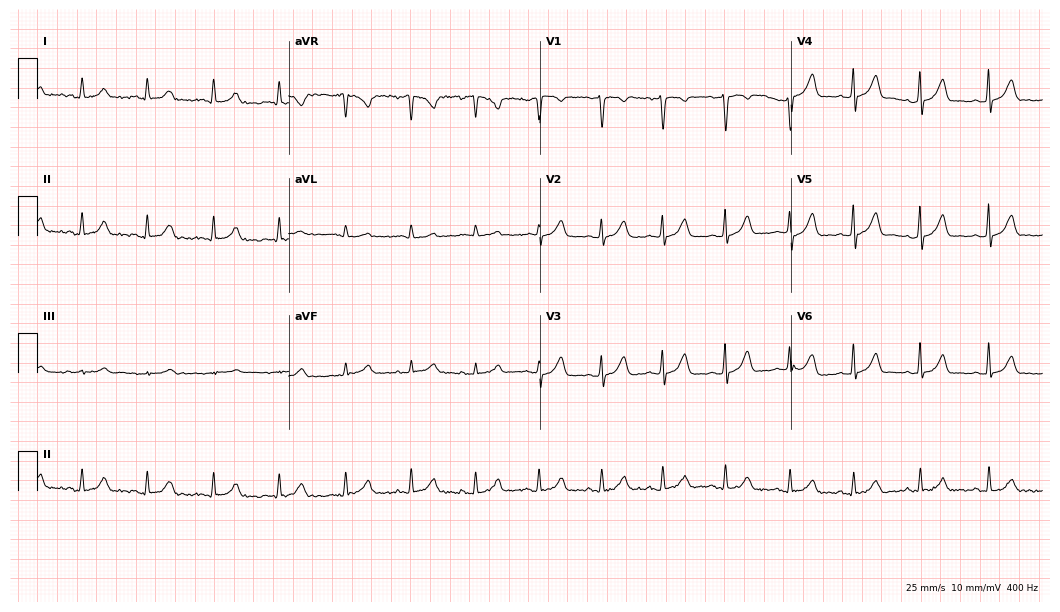
Resting 12-lead electrocardiogram. Patient: a female, 42 years old. Read as a normal ECG.